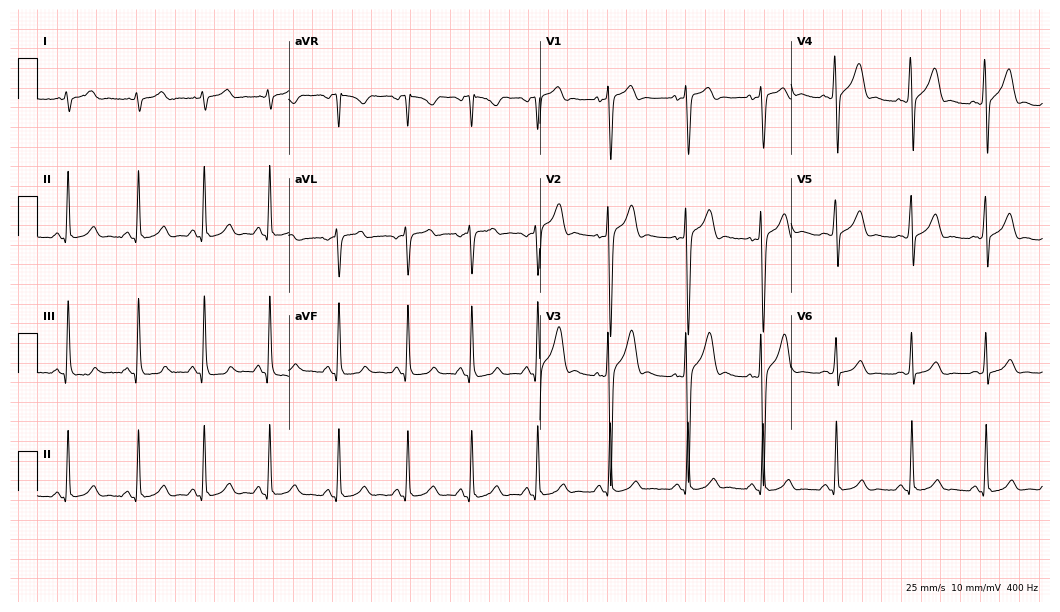
Standard 12-lead ECG recorded from a 21-year-old woman (10.2-second recording at 400 Hz). Read as a normal ECG.